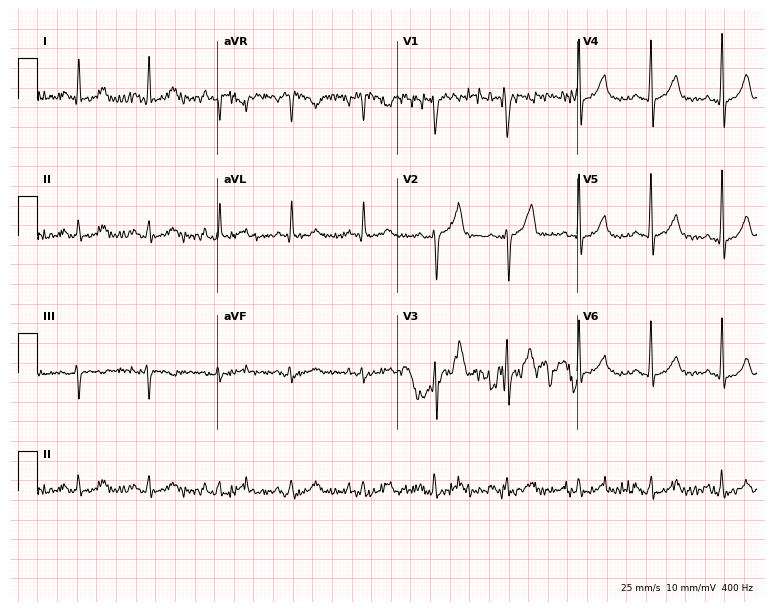
Electrocardiogram (7.3-second recording at 400 Hz), a male patient, 52 years old. Overall reading on record: normal ECG.